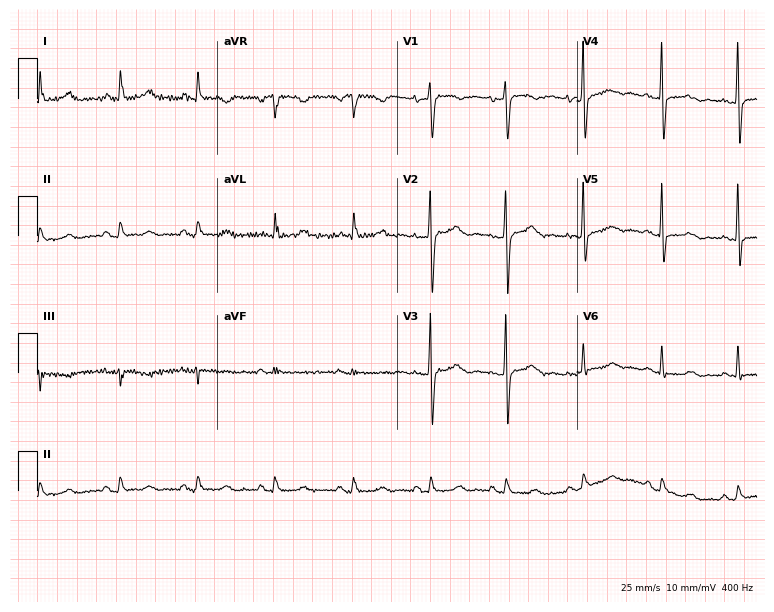
12-lead ECG from a 74-year-old female (7.3-second recording at 400 Hz). Recorded interpretation: within normal limits.